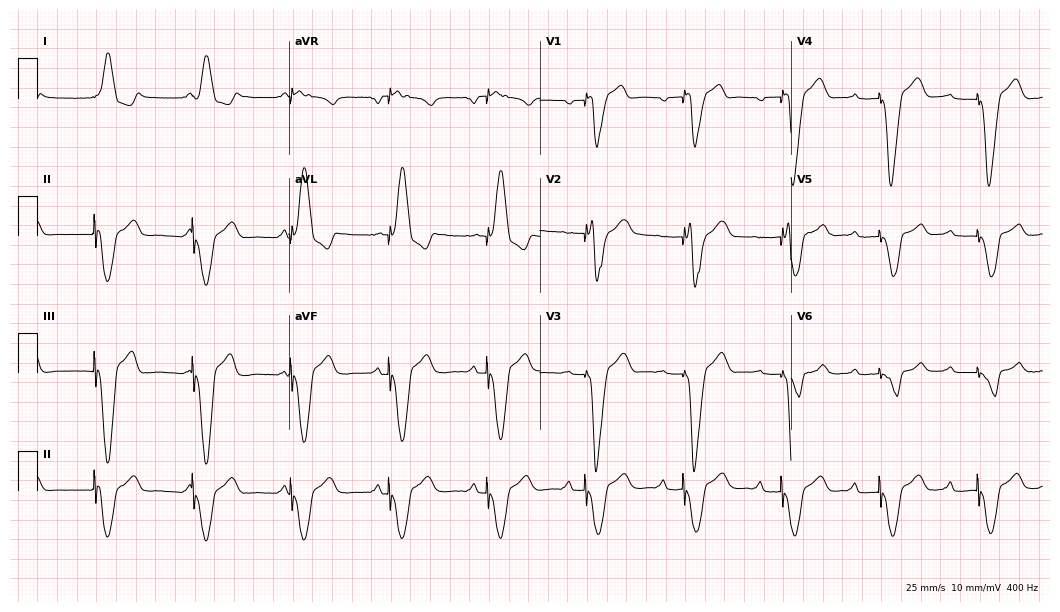
12-lead ECG (10.2-second recording at 400 Hz) from a male patient, 50 years old. Screened for six findings — first-degree AV block, right bundle branch block, left bundle branch block, sinus bradycardia, atrial fibrillation, sinus tachycardia — none is recorded. Other findings, if any, are not listed.